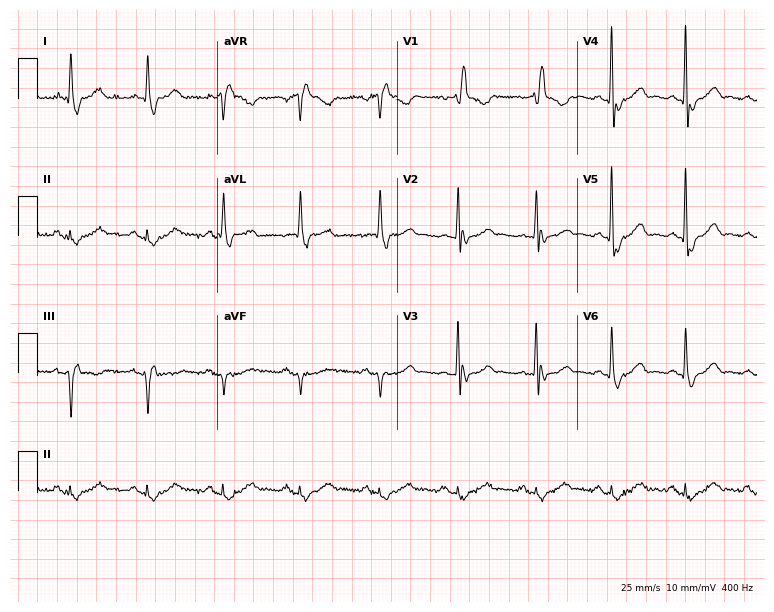
12-lead ECG from a female, 80 years old (7.3-second recording at 400 Hz). Shows right bundle branch block.